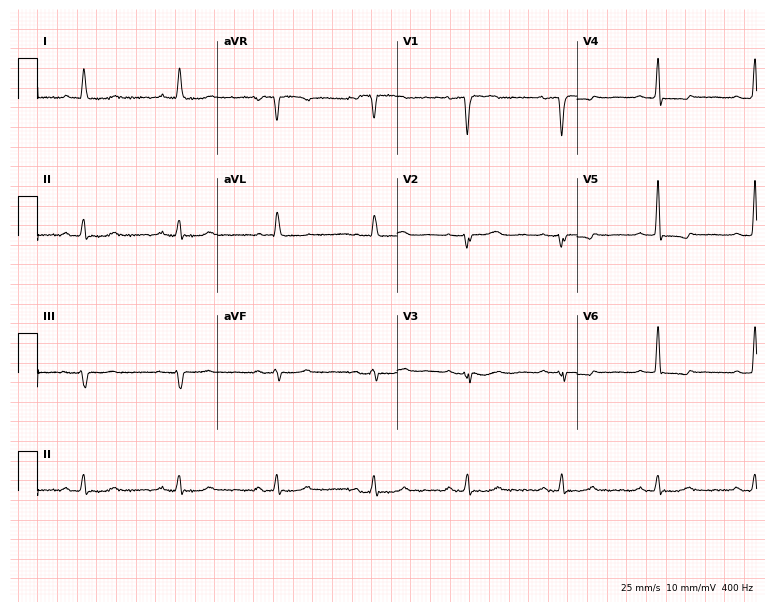
Standard 12-lead ECG recorded from a 60-year-old female patient (7.3-second recording at 400 Hz). None of these six findings is recorded: first-degree AV block, right bundle branch block, left bundle branch block, sinus bradycardia, atrial fibrillation, sinus tachycardia.